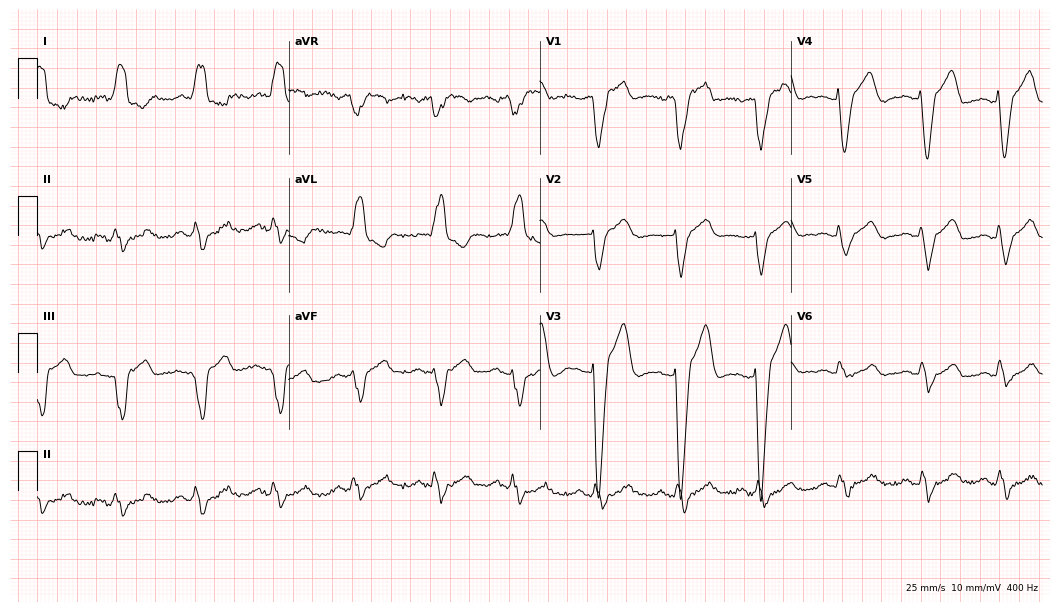
Resting 12-lead electrocardiogram. Patient: a female, 73 years old. The tracing shows left bundle branch block.